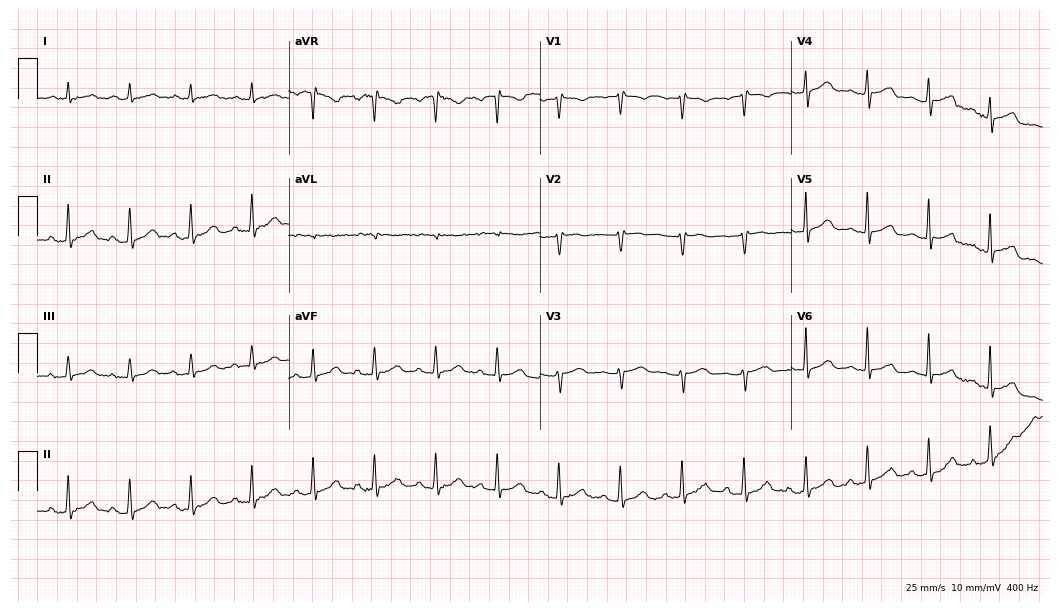
12-lead ECG from a female, 72 years old. Recorded interpretation: within normal limits.